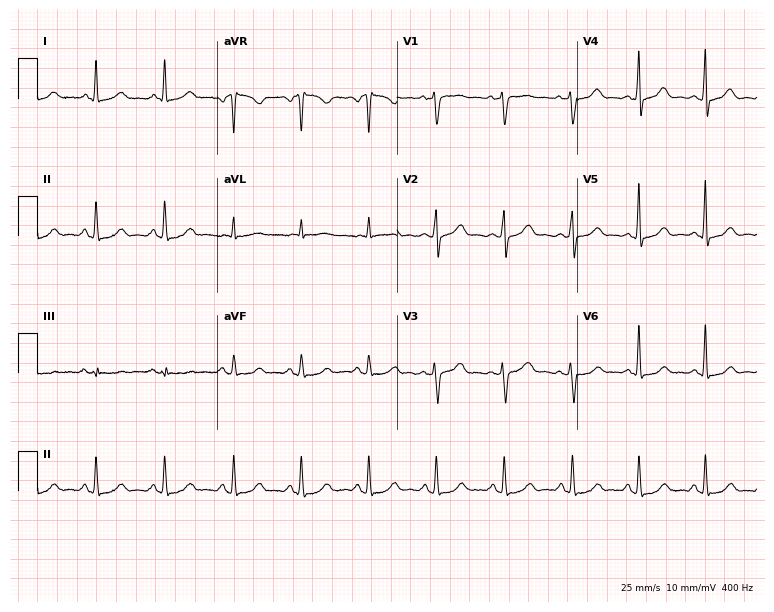
Electrocardiogram (7.3-second recording at 400 Hz), a 54-year-old female patient. Overall reading on record: normal ECG.